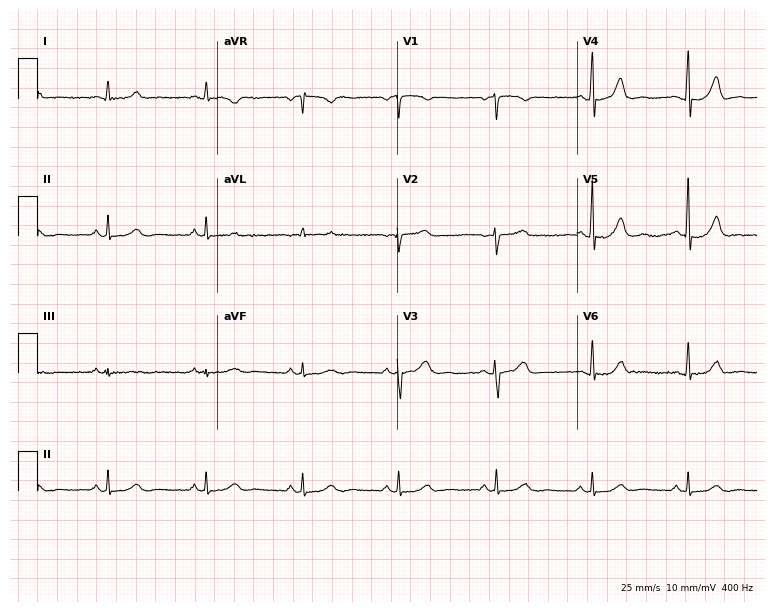
Resting 12-lead electrocardiogram (7.3-second recording at 400 Hz). Patient: a woman, 50 years old. Read as a normal ECG.